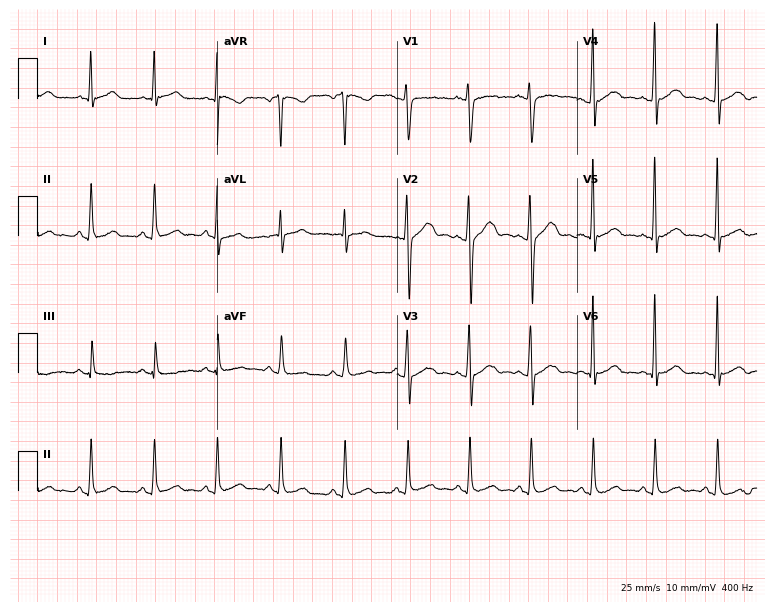
ECG (7.3-second recording at 400 Hz) — a male, 24 years old. Labelled as a normal ECG.